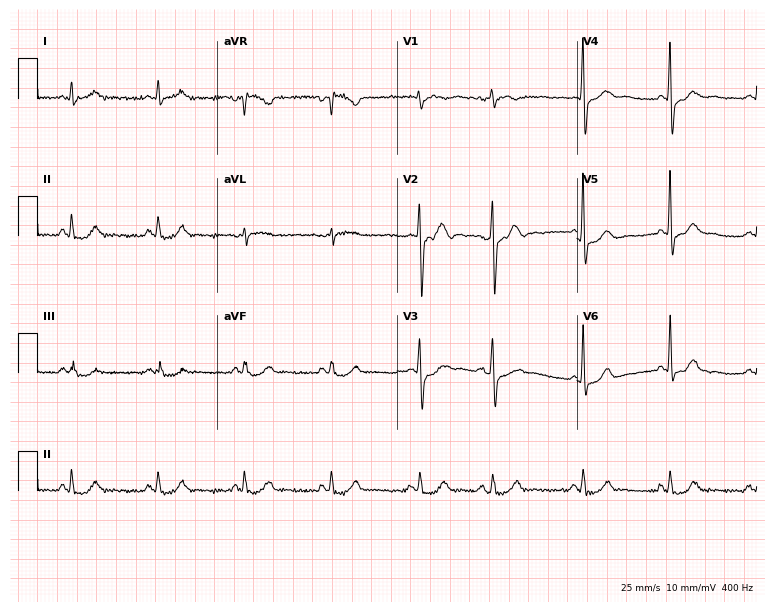
12-lead ECG from a man, 63 years old. Recorded interpretation: within normal limits.